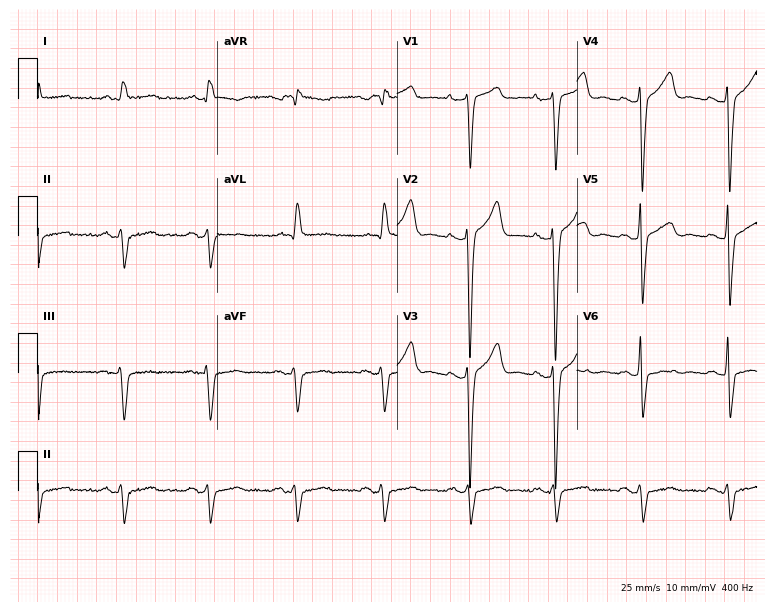
Resting 12-lead electrocardiogram (7.3-second recording at 400 Hz). Patient: a female, 67 years old. None of these six findings is recorded: first-degree AV block, right bundle branch block (RBBB), left bundle branch block (LBBB), sinus bradycardia, atrial fibrillation (AF), sinus tachycardia.